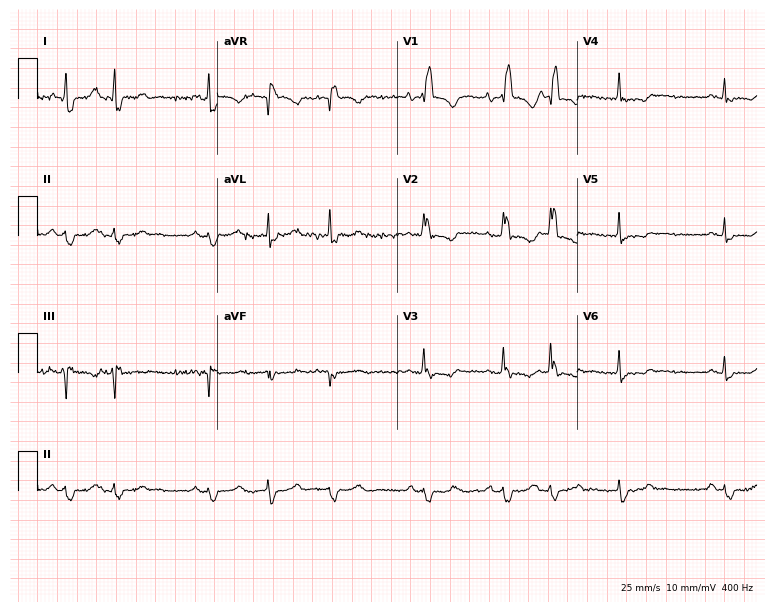
12-lead ECG from a 74-year-old female patient. Screened for six findings — first-degree AV block, right bundle branch block, left bundle branch block, sinus bradycardia, atrial fibrillation, sinus tachycardia — none is recorded.